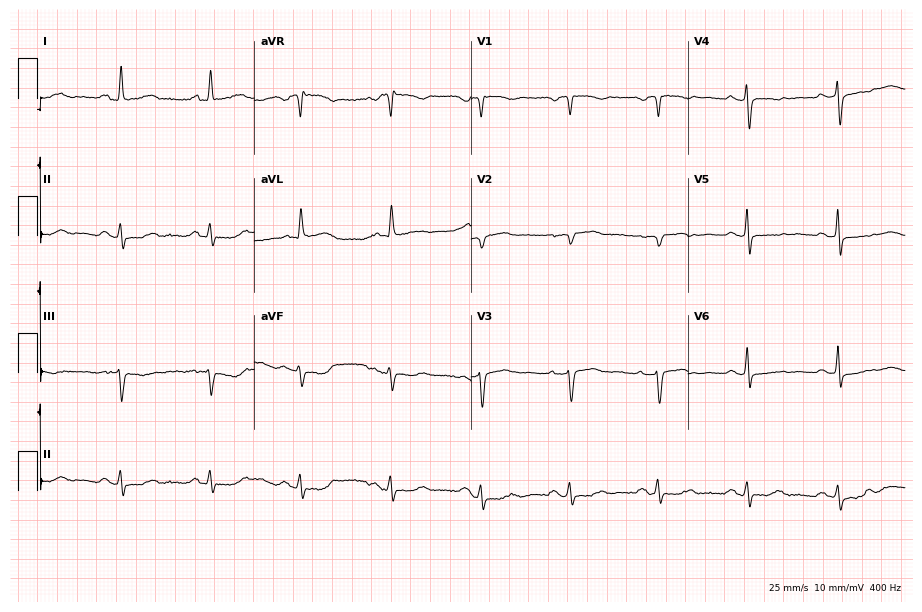
Resting 12-lead electrocardiogram (8.8-second recording at 400 Hz). Patient: a 62-year-old female. None of these six findings is recorded: first-degree AV block, right bundle branch block (RBBB), left bundle branch block (LBBB), sinus bradycardia, atrial fibrillation (AF), sinus tachycardia. Findings outside these six are not listed.